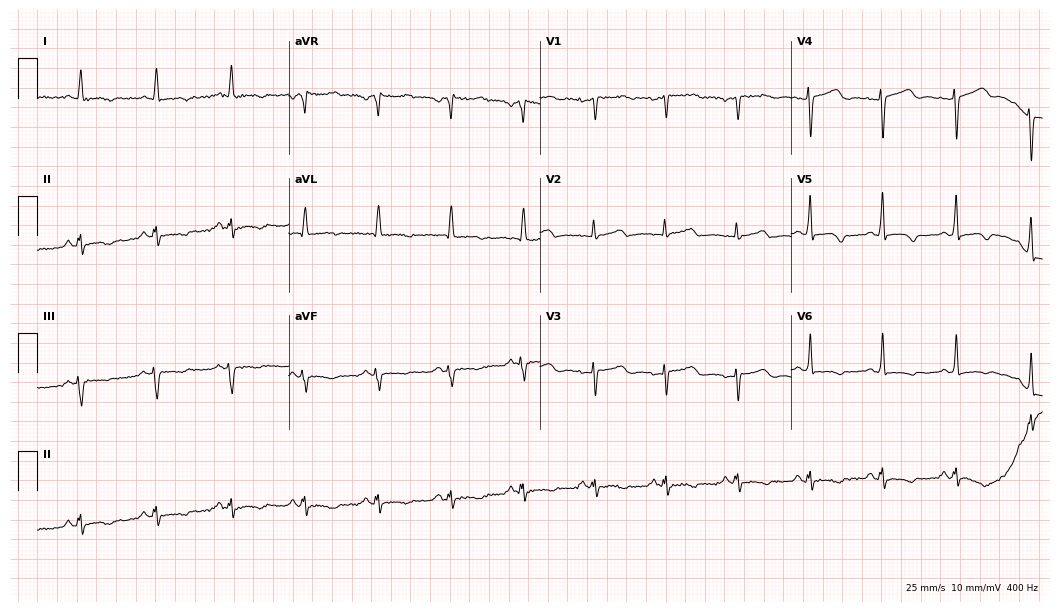
Resting 12-lead electrocardiogram (10.2-second recording at 400 Hz). Patient: a 69-year-old female. None of these six findings is recorded: first-degree AV block, right bundle branch block, left bundle branch block, sinus bradycardia, atrial fibrillation, sinus tachycardia. Only these six findings were labelled.